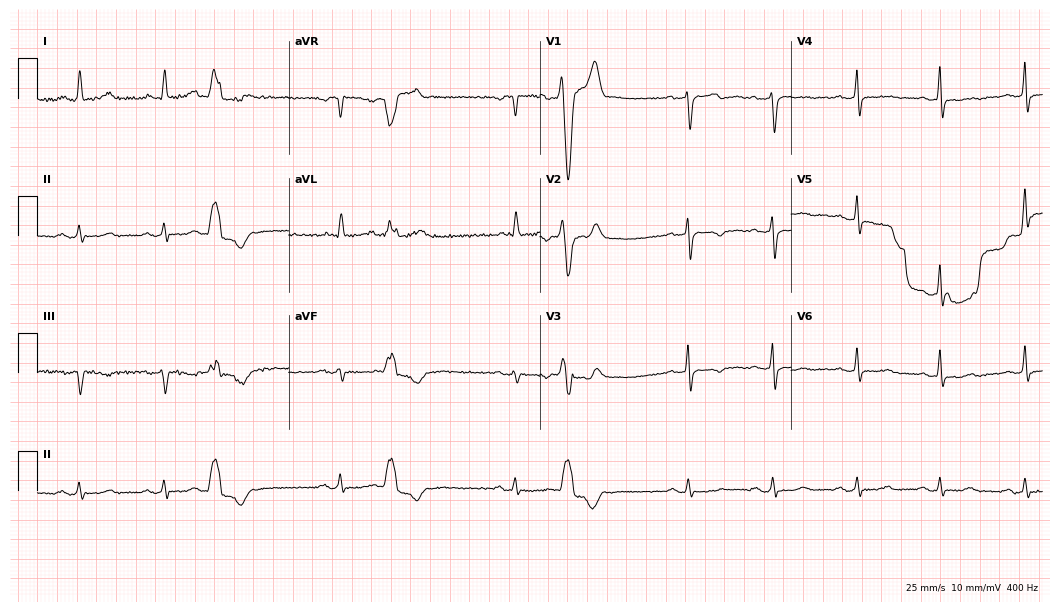
12-lead ECG (10.2-second recording at 400 Hz) from a female, 75 years old. Screened for six findings — first-degree AV block, right bundle branch block (RBBB), left bundle branch block (LBBB), sinus bradycardia, atrial fibrillation (AF), sinus tachycardia — none is recorded. Other findings, if any, are not listed.